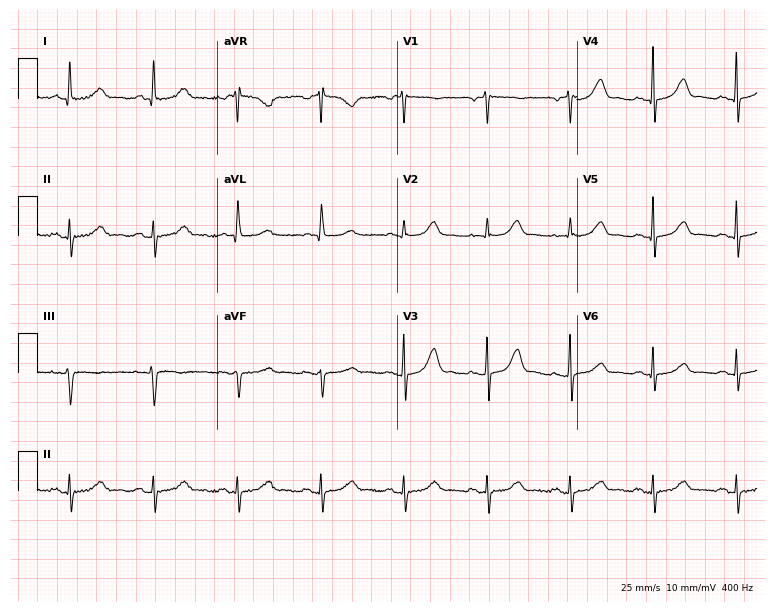
ECG (7.3-second recording at 400 Hz) — a woman, 76 years old. Labelled as a normal ECG.